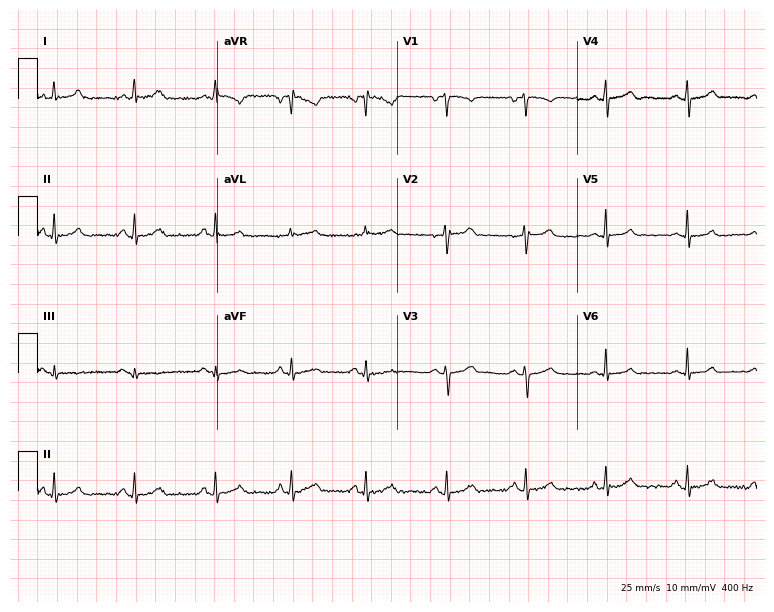
12-lead ECG from a female patient, 45 years old. Labelled as a normal ECG.